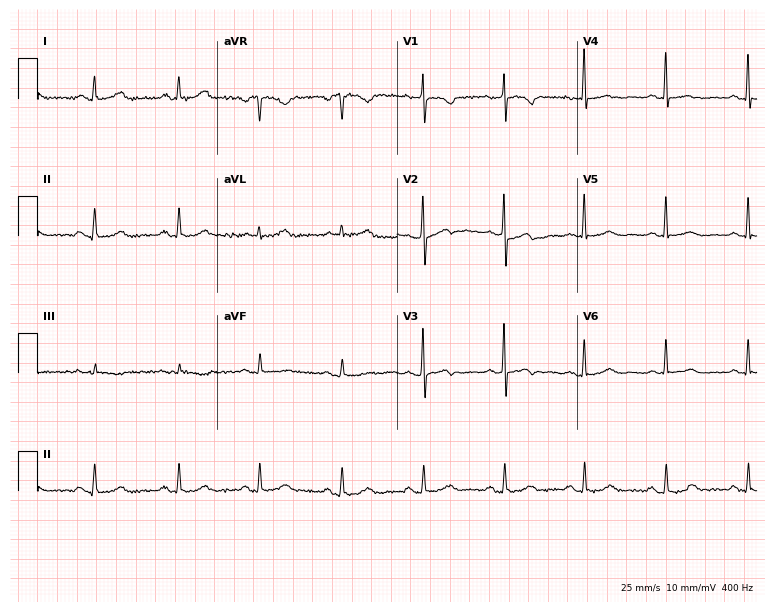
Resting 12-lead electrocardiogram. Patient: a 64-year-old female. None of these six findings is recorded: first-degree AV block, right bundle branch block (RBBB), left bundle branch block (LBBB), sinus bradycardia, atrial fibrillation (AF), sinus tachycardia.